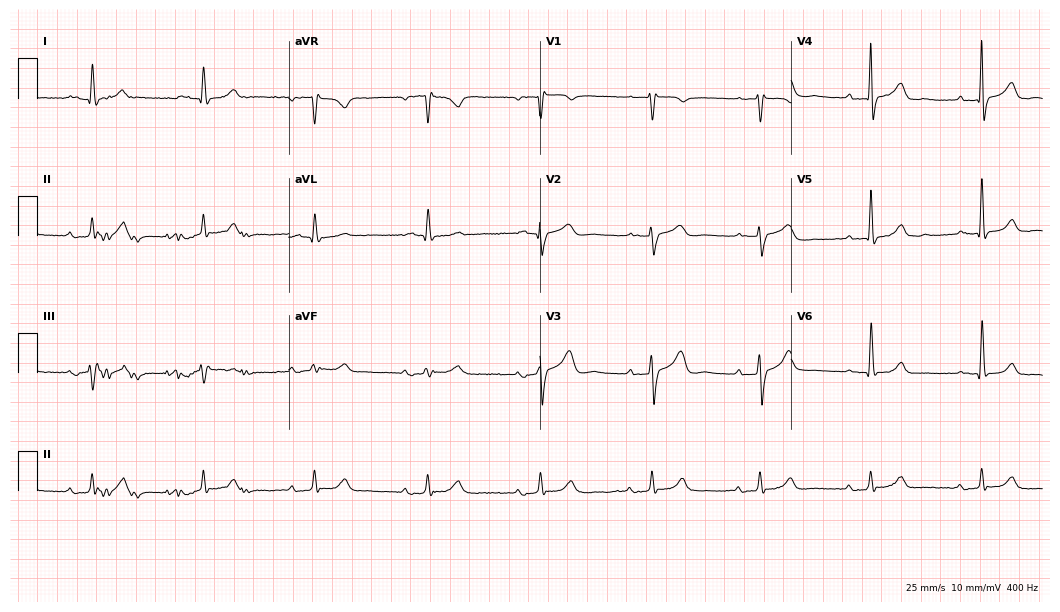
Standard 12-lead ECG recorded from a 73-year-old man. None of these six findings is recorded: first-degree AV block, right bundle branch block (RBBB), left bundle branch block (LBBB), sinus bradycardia, atrial fibrillation (AF), sinus tachycardia. Other findings, if any, are not listed.